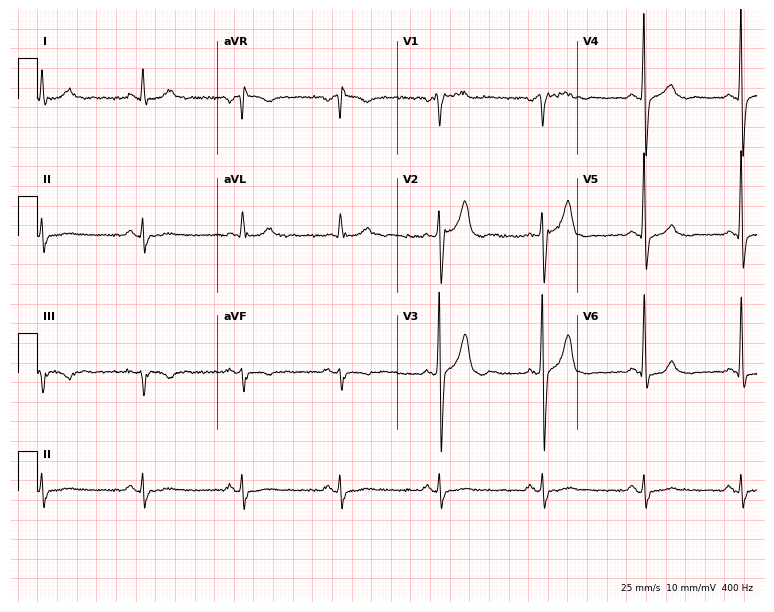
Electrocardiogram, a 70-year-old male. Of the six screened findings (first-degree AV block, right bundle branch block (RBBB), left bundle branch block (LBBB), sinus bradycardia, atrial fibrillation (AF), sinus tachycardia), none is recorded.